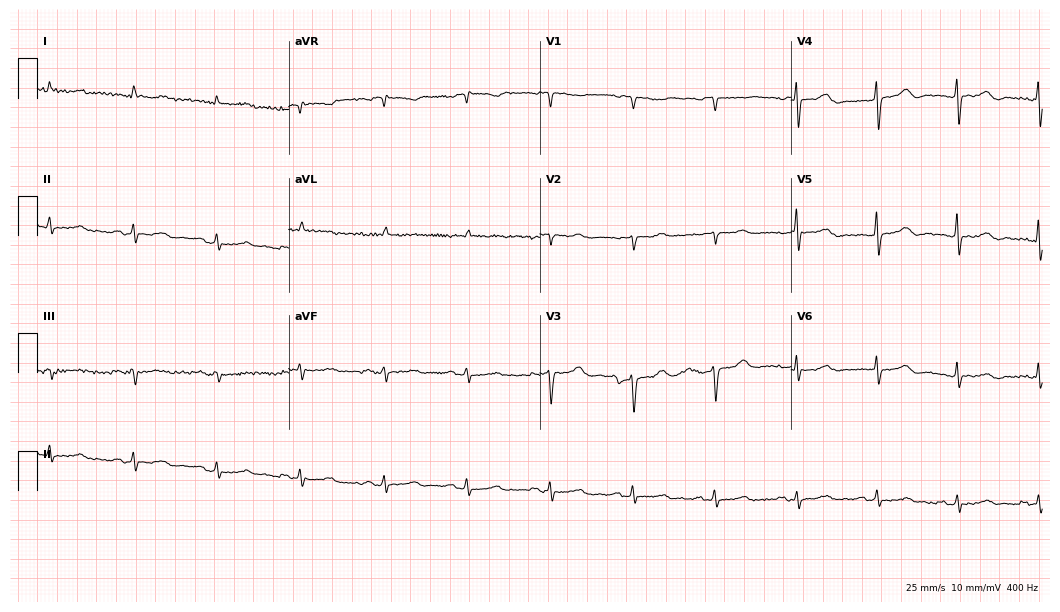
12-lead ECG (10.2-second recording at 400 Hz) from a woman, 75 years old. Screened for six findings — first-degree AV block, right bundle branch block, left bundle branch block, sinus bradycardia, atrial fibrillation, sinus tachycardia — none is recorded.